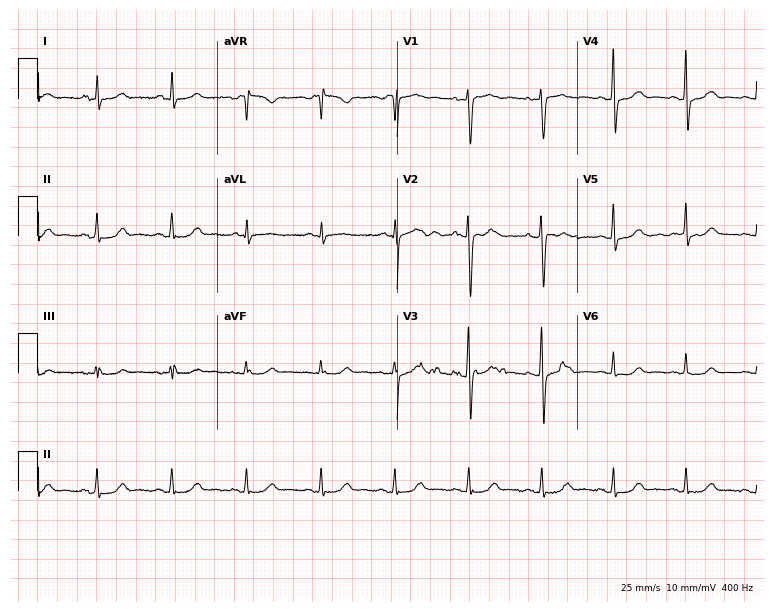
Standard 12-lead ECG recorded from a female, 56 years old. Read as a normal ECG.